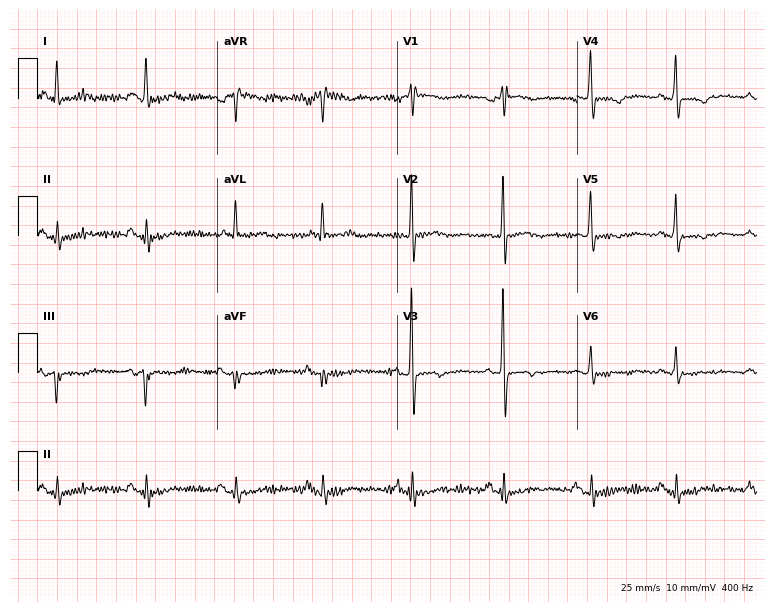
Standard 12-lead ECG recorded from a female, 60 years old. Read as a normal ECG.